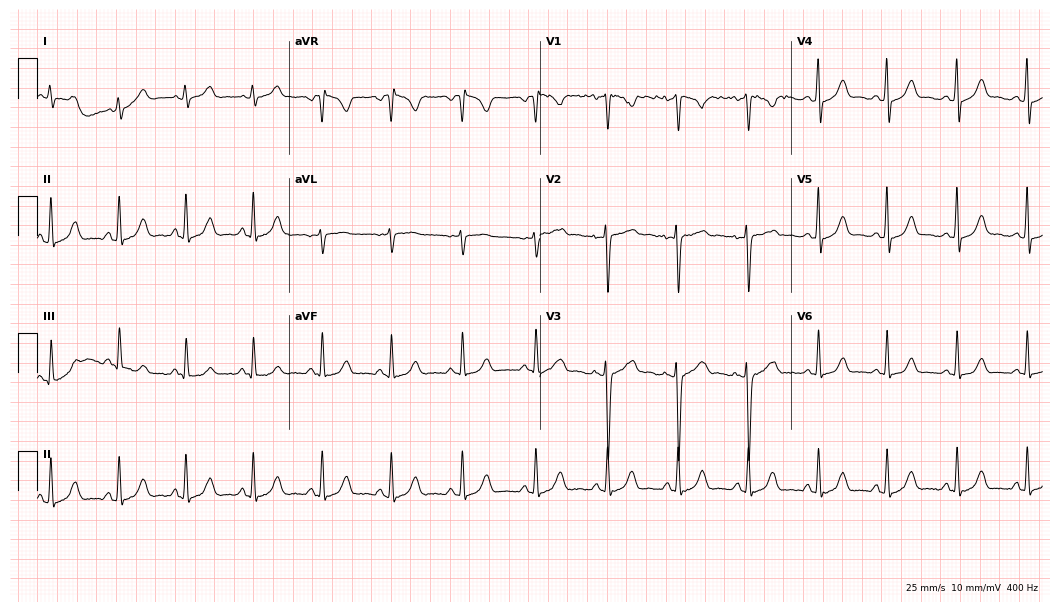
Resting 12-lead electrocardiogram (10.2-second recording at 400 Hz). Patient: a 23-year-old woman. Read as a normal ECG.